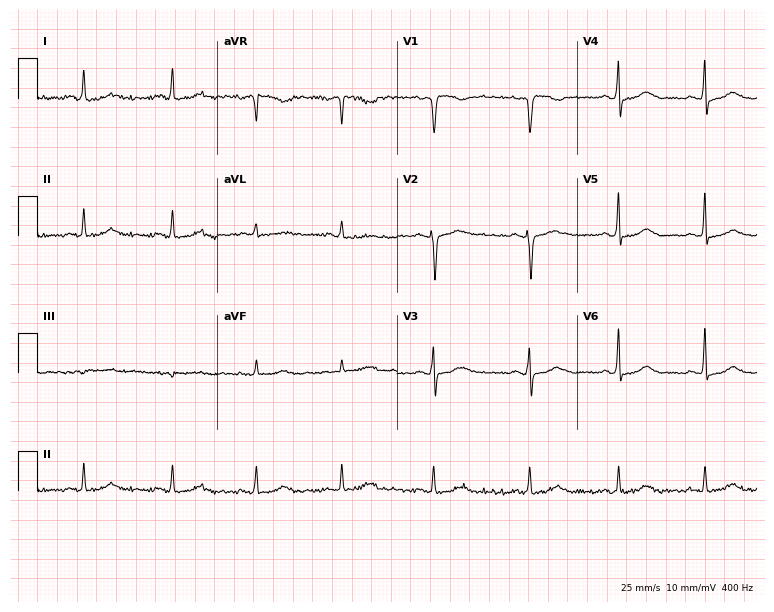
Resting 12-lead electrocardiogram (7.3-second recording at 400 Hz). Patient: a 41-year-old woman. Read as a normal ECG.